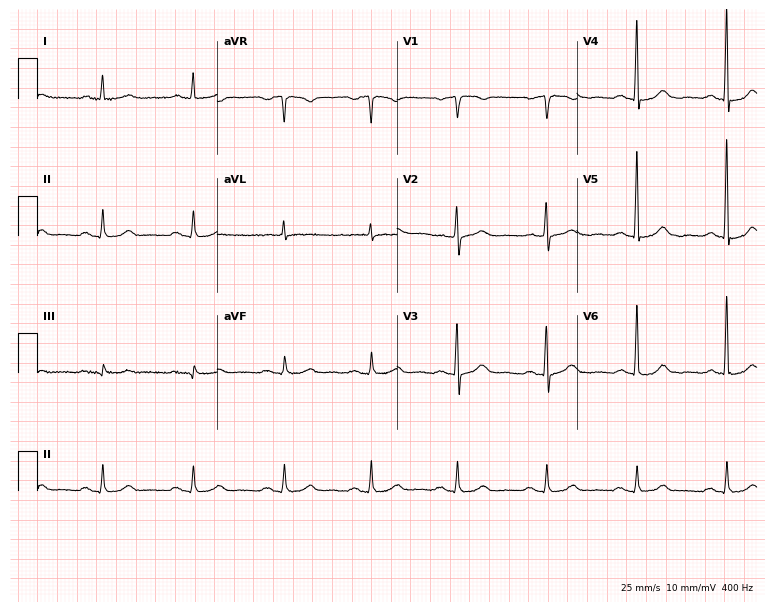
12-lead ECG from a 77-year-old female patient. Labelled as a normal ECG.